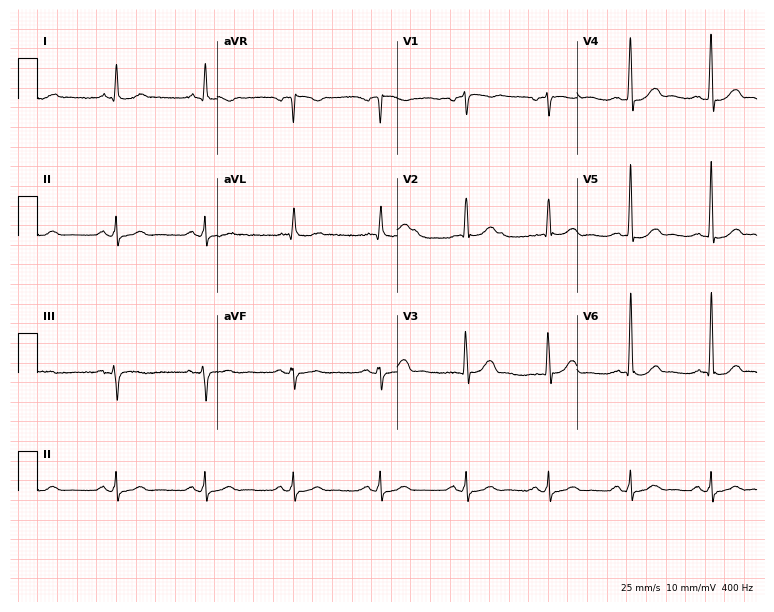
ECG (7.3-second recording at 400 Hz) — a 58-year-old male. Labelled as a normal ECG.